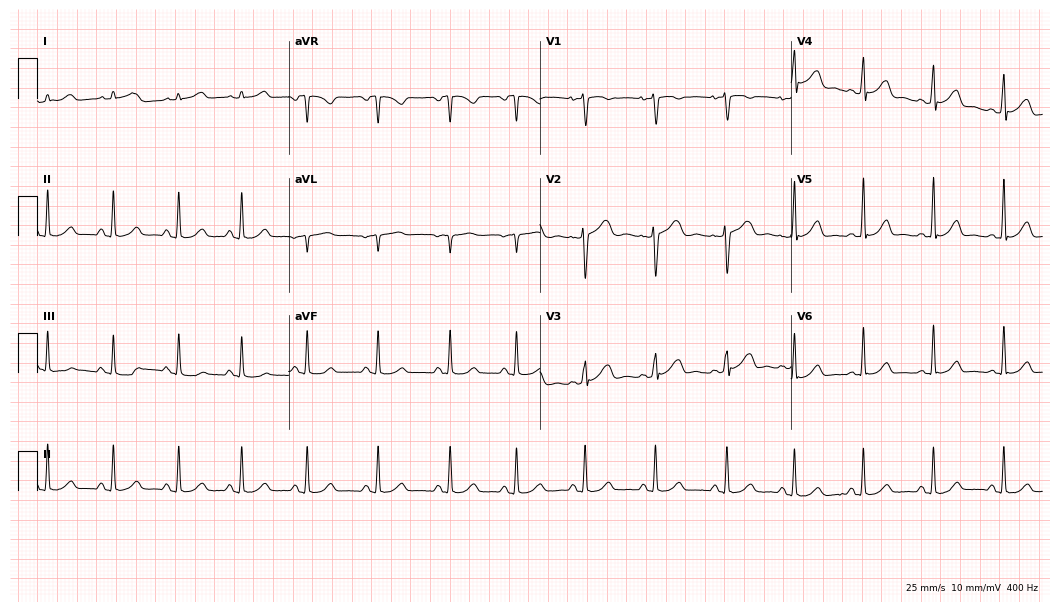
Standard 12-lead ECG recorded from a 26-year-old female patient. Read as a normal ECG.